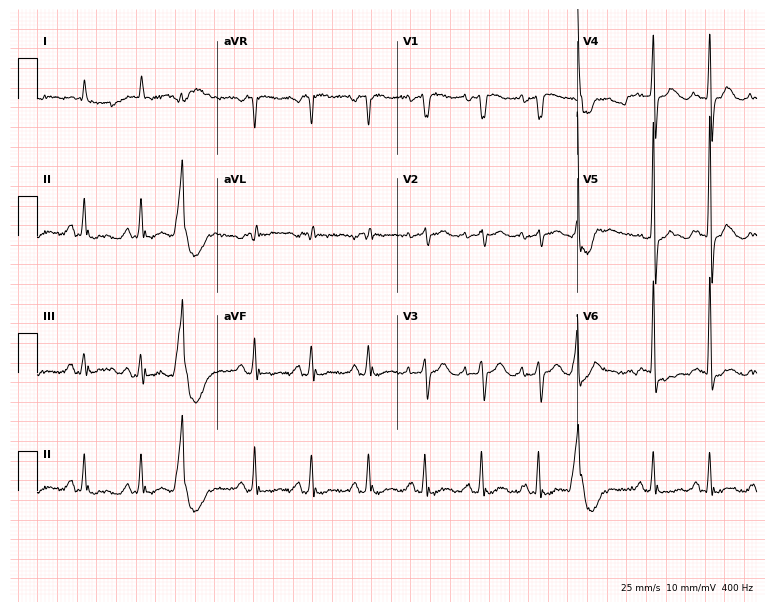
12-lead ECG from a 75-year-old female (7.3-second recording at 400 Hz). Shows sinus tachycardia (a sinus rate of 100 beats per minute or more).